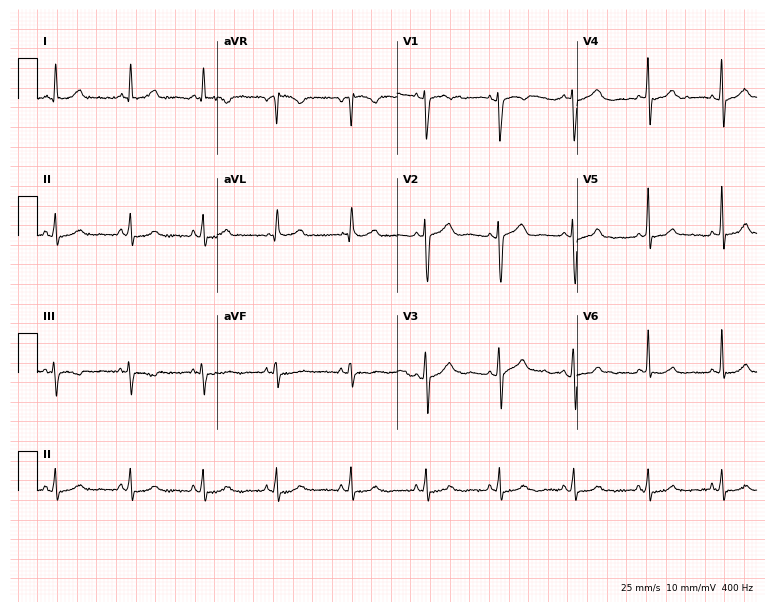
ECG (7.3-second recording at 400 Hz) — a female, 50 years old. Screened for six findings — first-degree AV block, right bundle branch block, left bundle branch block, sinus bradycardia, atrial fibrillation, sinus tachycardia — none is recorded. Findings outside these six are not listed.